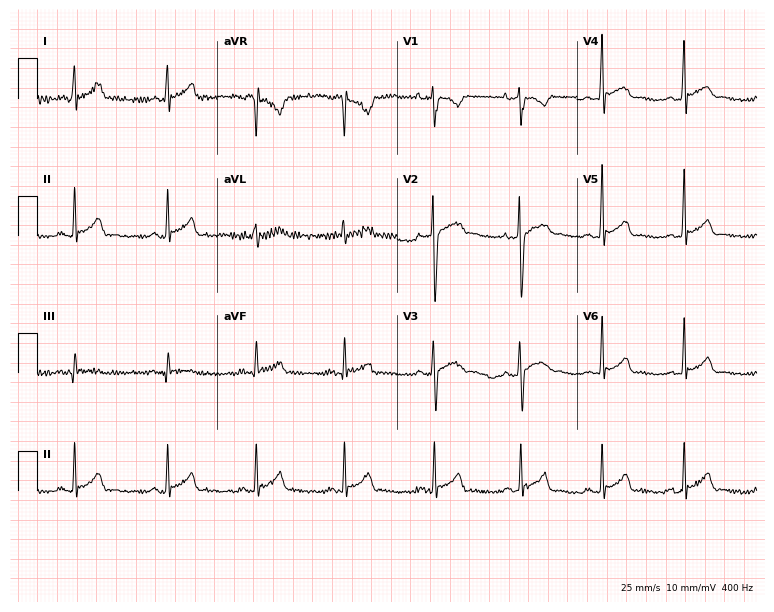
Resting 12-lead electrocardiogram (7.3-second recording at 400 Hz). Patient: a 32-year-old male. Read as a normal ECG.